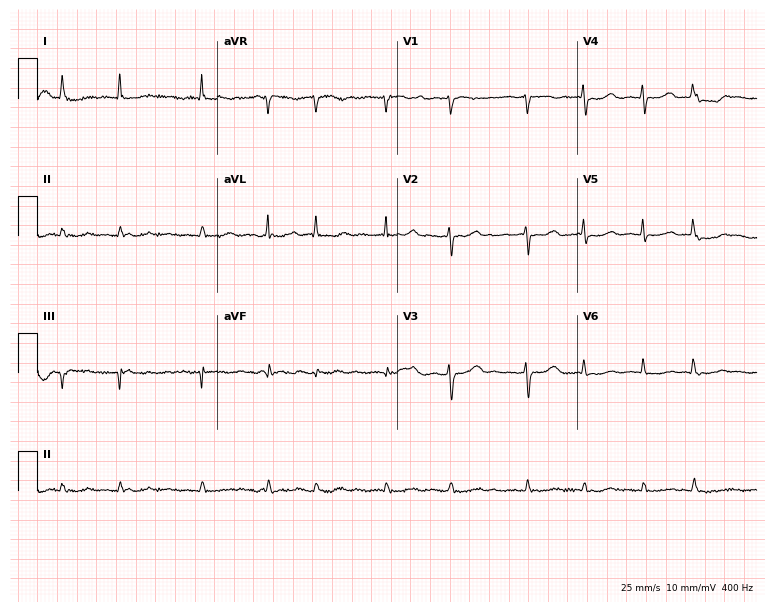
12-lead ECG from an 80-year-old woman (7.3-second recording at 400 Hz). No first-degree AV block, right bundle branch block, left bundle branch block, sinus bradycardia, atrial fibrillation or sinus tachycardia recorded for this tracing.